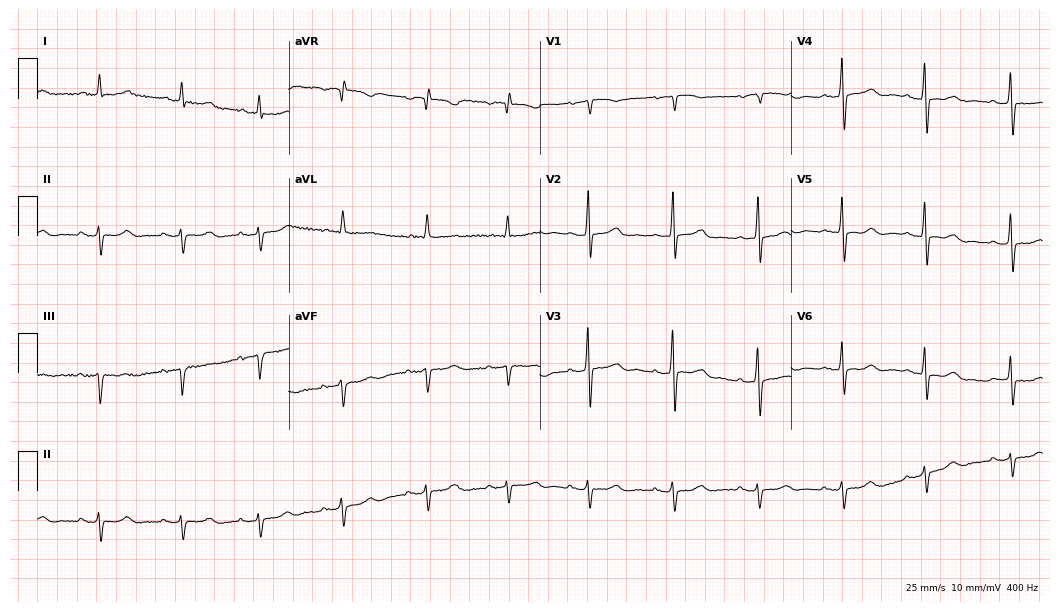
Standard 12-lead ECG recorded from an 81-year-old female (10.2-second recording at 400 Hz). None of these six findings is recorded: first-degree AV block, right bundle branch block, left bundle branch block, sinus bradycardia, atrial fibrillation, sinus tachycardia. Other findings, if any, are not listed.